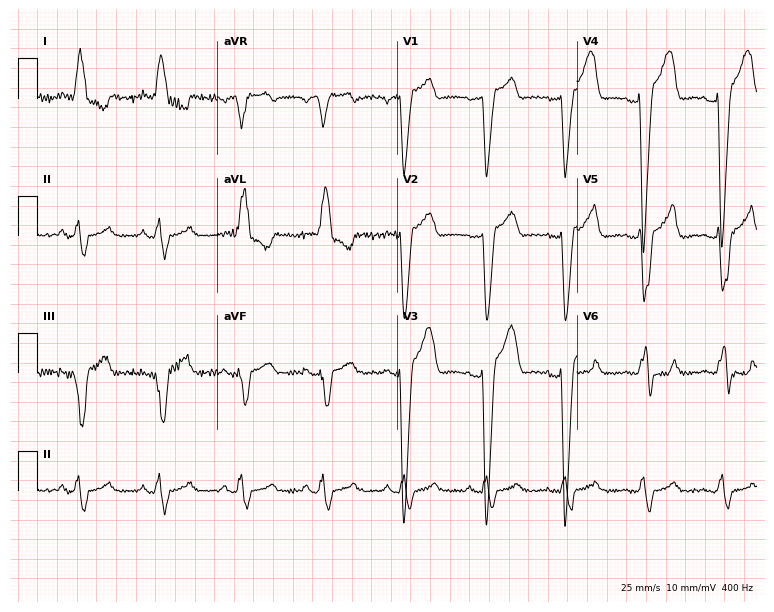
12-lead ECG (7.3-second recording at 400 Hz) from a female patient, 76 years old. Findings include left bundle branch block.